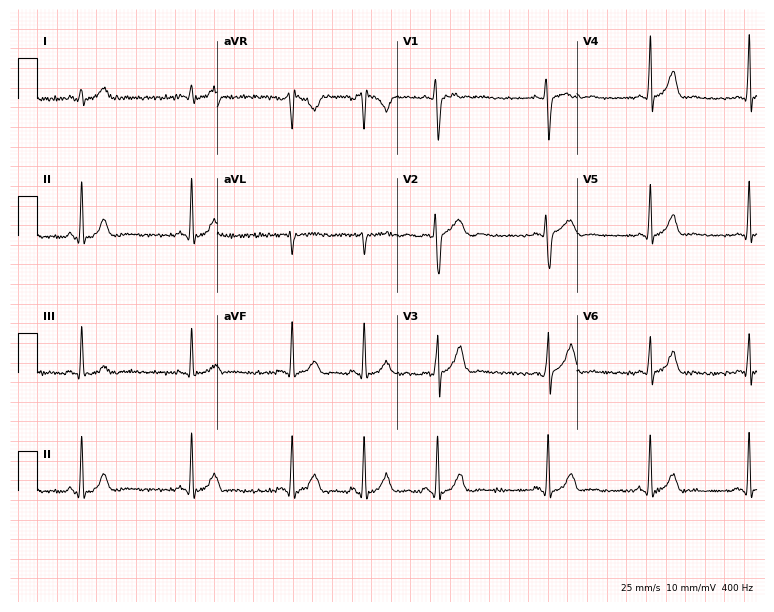
Resting 12-lead electrocardiogram. Patient: a 17-year-old female. None of these six findings is recorded: first-degree AV block, right bundle branch block (RBBB), left bundle branch block (LBBB), sinus bradycardia, atrial fibrillation (AF), sinus tachycardia.